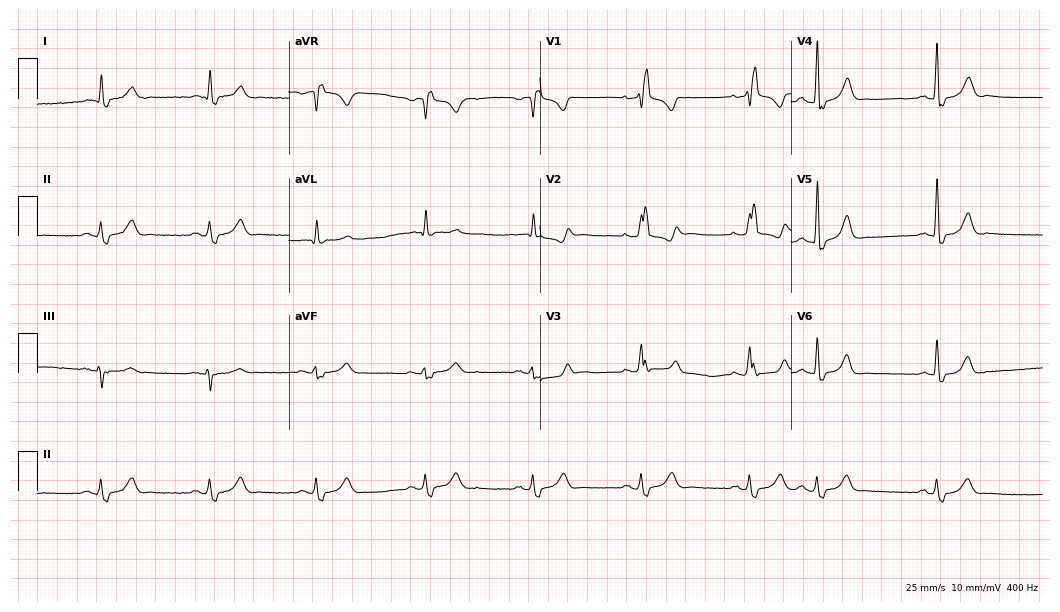
Electrocardiogram, a male patient, 82 years old. Interpretation includes right bundle branch block.